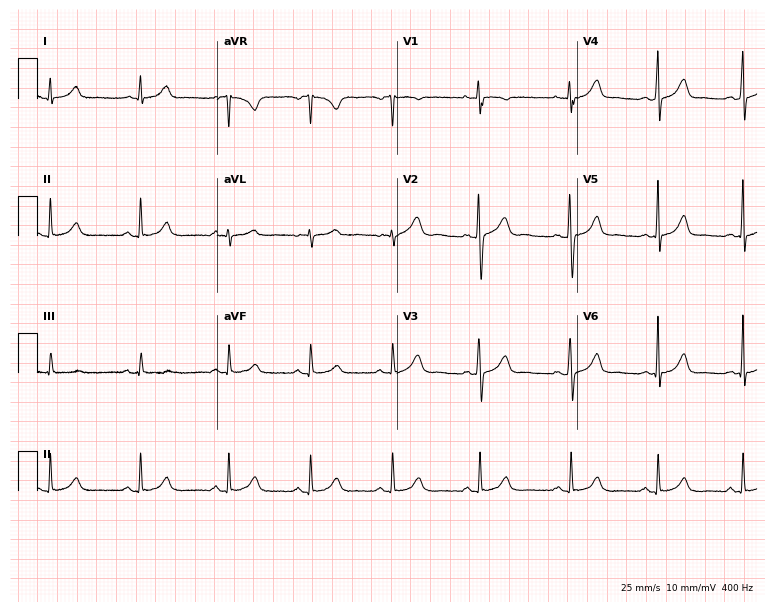
ECG (7.3-second recording at 400 Hz) — a female, 23 years old. Screened for six findings — first-degree AV block, right bundle branch block, left bundle branch block, sinus bradycardia, atrial fibrillation, sinus tachycardia — none is recorded. Only these six findings were labelled.